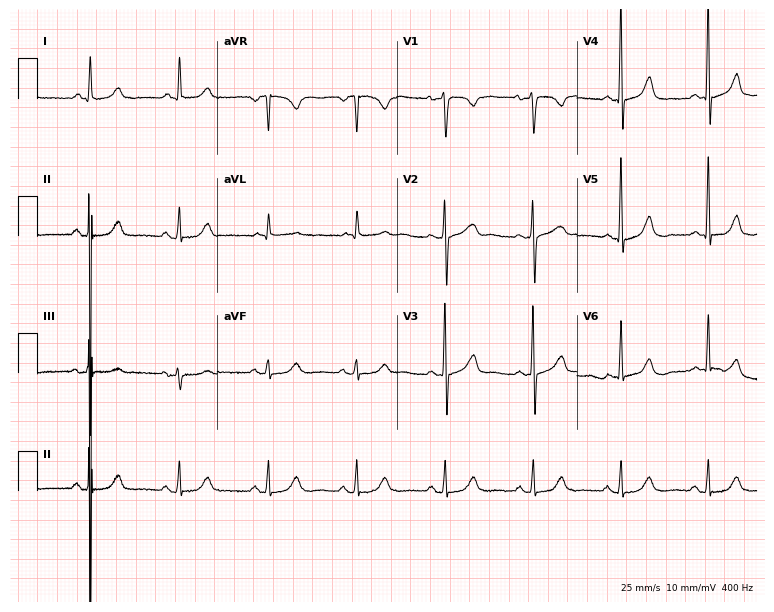
Standard 12-lead ECG recorded from a female patient, 76 years old (7.3-second recording at 400 Hz). None of these six findings is recorded: first-degree AV block, right bundle branch block, left bundle branch block, sinus bradycardia, atrial fibrillation, sinus tachycardia.